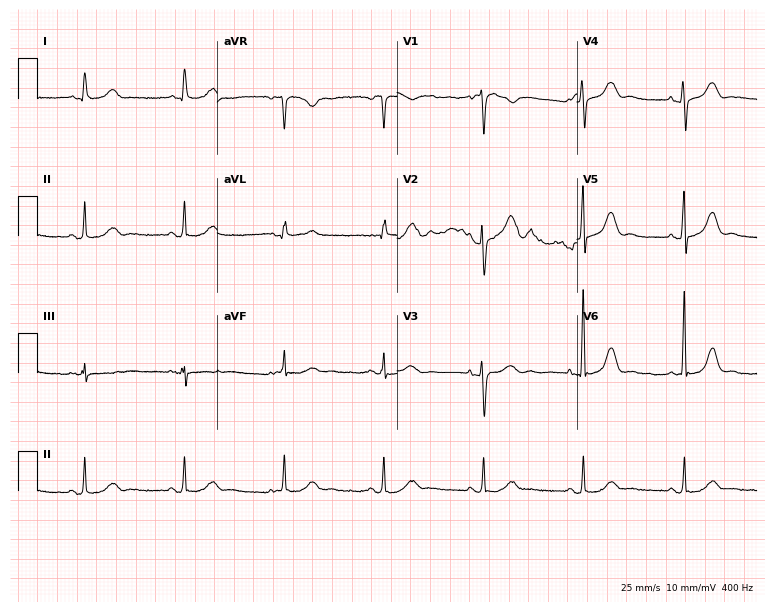
Standard 12-lead ECG recorded from a 68-year-old female (7.3-second recording at 400 Hz). Read as a normal ECG.